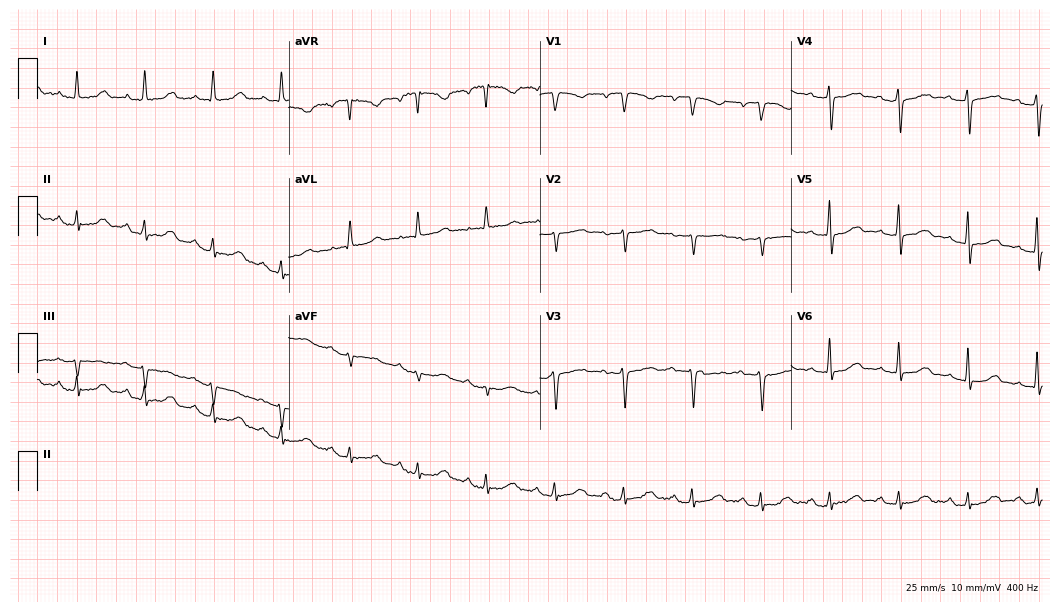
Standard 12-lead ECG recorded from a 75-year-old woman (10.2-second recording at 400 Hz). Read as a normal ECG.